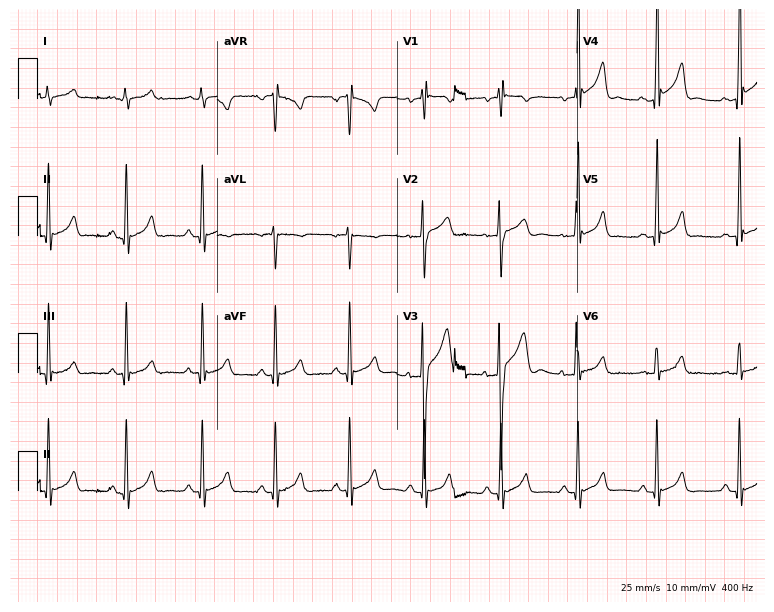
Standard 12-lead ECG recorded from a 20-year-old male (7.3-second recording at 400 Hz). Read as a normal ECG.